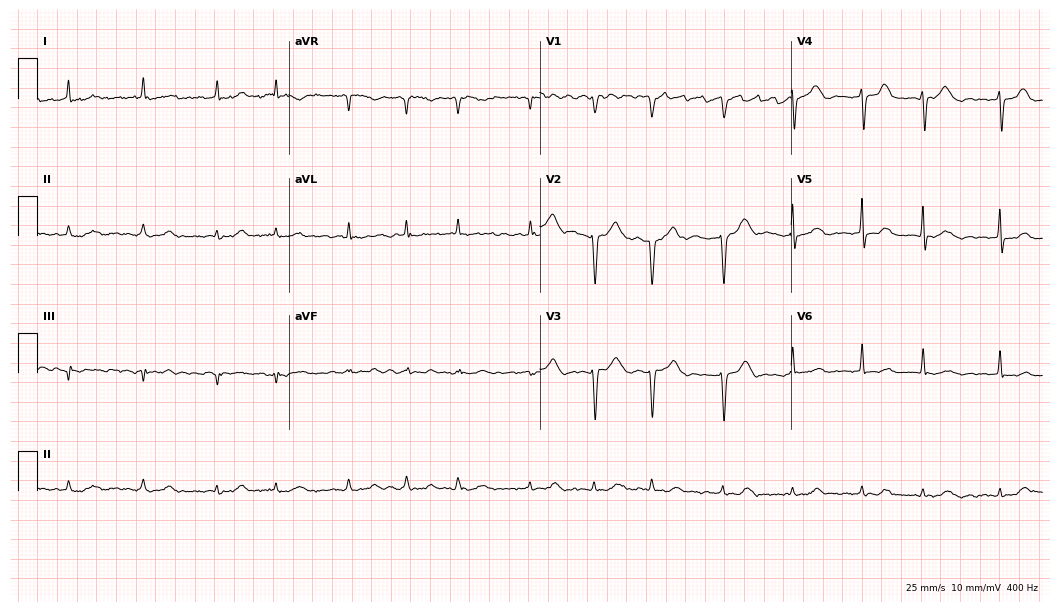
Standard 12-lead ECG recorded from an 84-year-old female patient (10.2-second recording at 400 Hz). The tracing shows atrial fibrillation (AF).